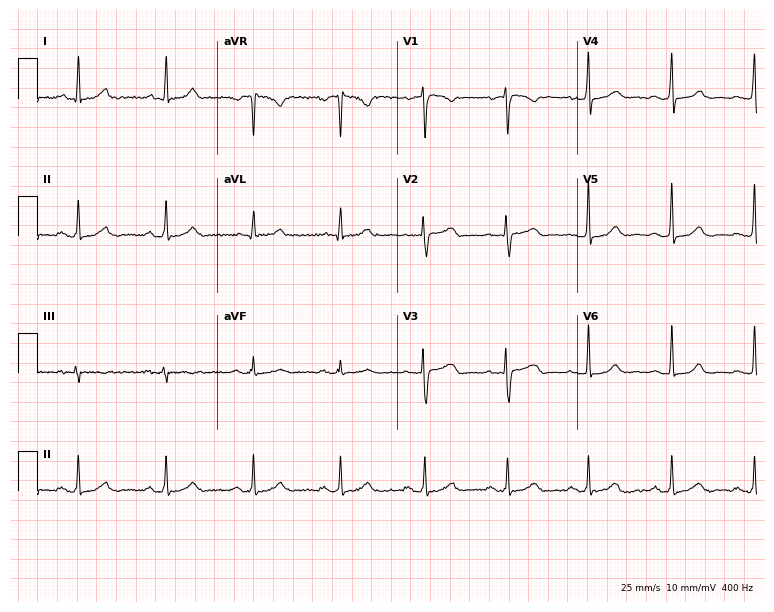
ECG (7.3-second recording at 400 Hz) — a female, 43 years old. Labelled as a normal ECG.